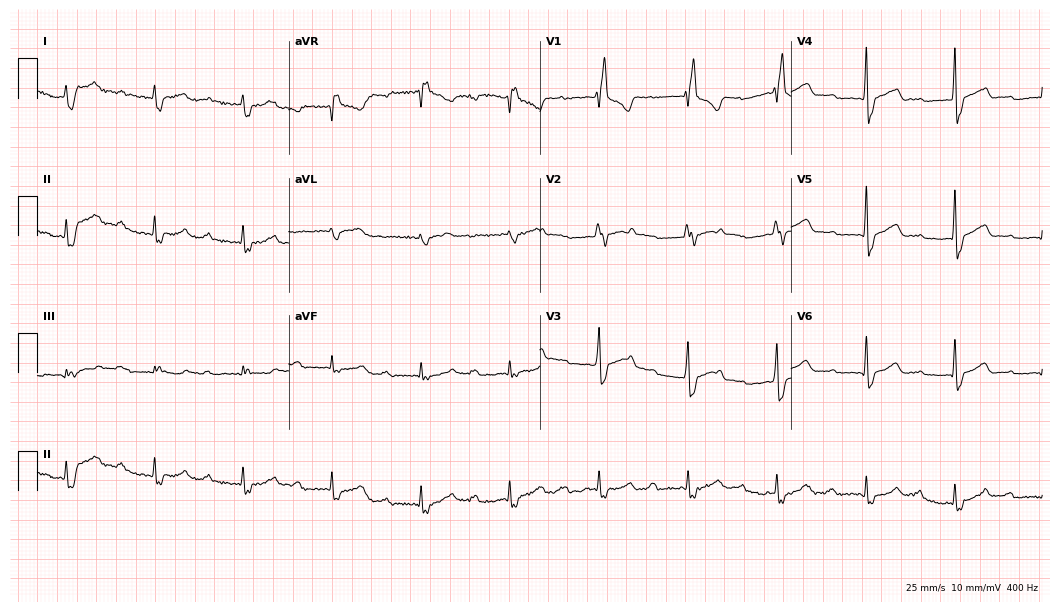
Standard 12-lead ECG recorded from a 41-year-old male (10.2-second recording at 400 Hz). None of these six findings is recorded: first-degree AV block, right bundle branch block (RBBB), left bundle branch block (LBBB), sinus bradycardia, atrial fibrillation (AF), sinus tachycardia. Findings outside these six are not listed.